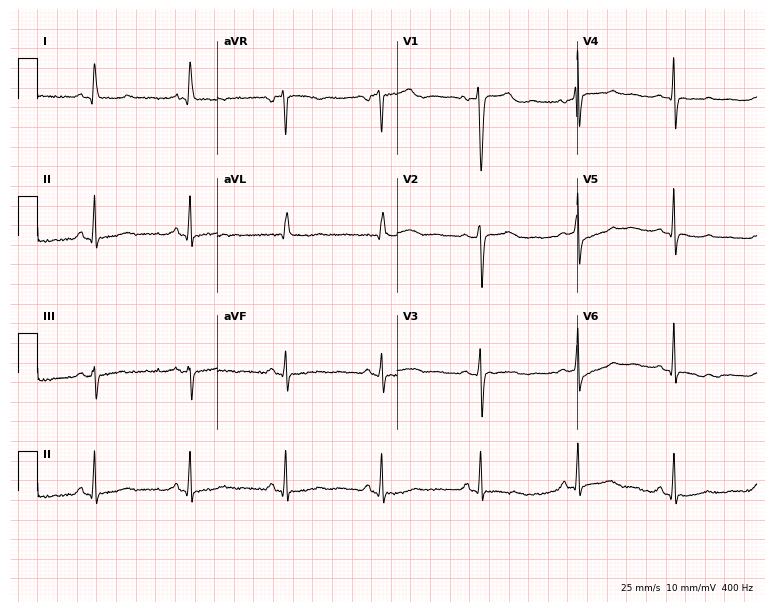
ECG (7.3-second recording at 400 Hz) — a 47-year-old female patient. Screened for six findings — first-degree AV block, right bundle branch block, left bundle branch block, sinus bradycardia, atrial fibrillation, sinus tachycardia — none is recorded.